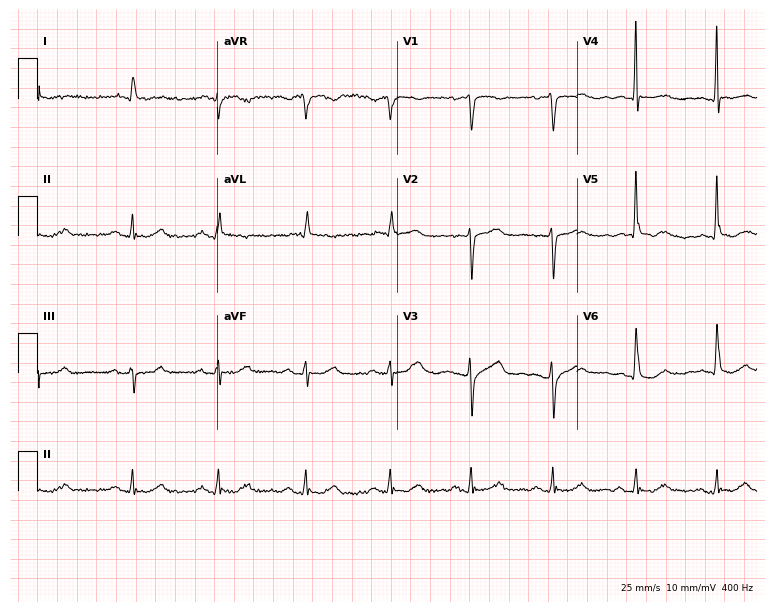
ECG (7.3-second recording at 400 Hz) — a 74-year-old woman. Screened for six findings — first-degree AV block, right bundle branch block, left bundle branch block, sinus bradycardia, atrial fibrillation, sinus tachycardia — none is recorded. Only these six findings were labelled.